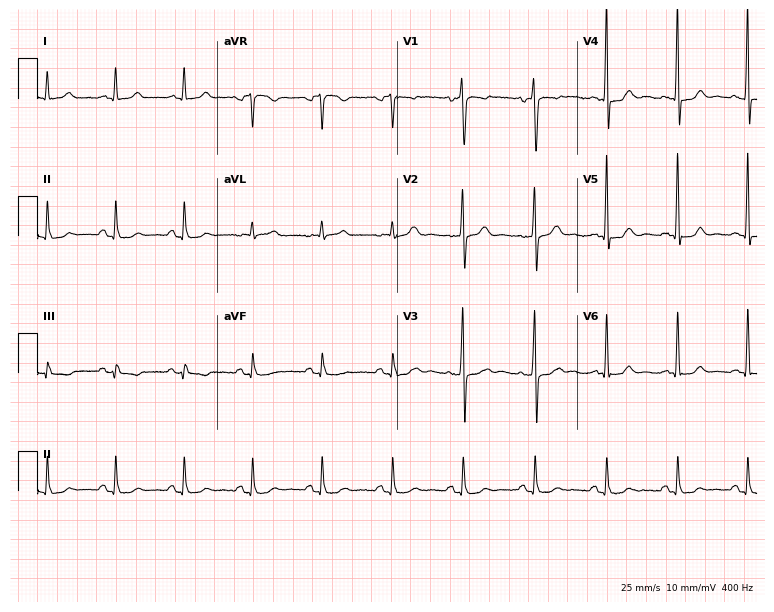
Resting 12-lead electrocardiogram. Patient: a male, 39 years old. None of these six findings is recorded: first-degree AV block, right bundle branch block, left bundle branch block, sinus bradycardia, atrial fibrillation, sinus tachycardia.